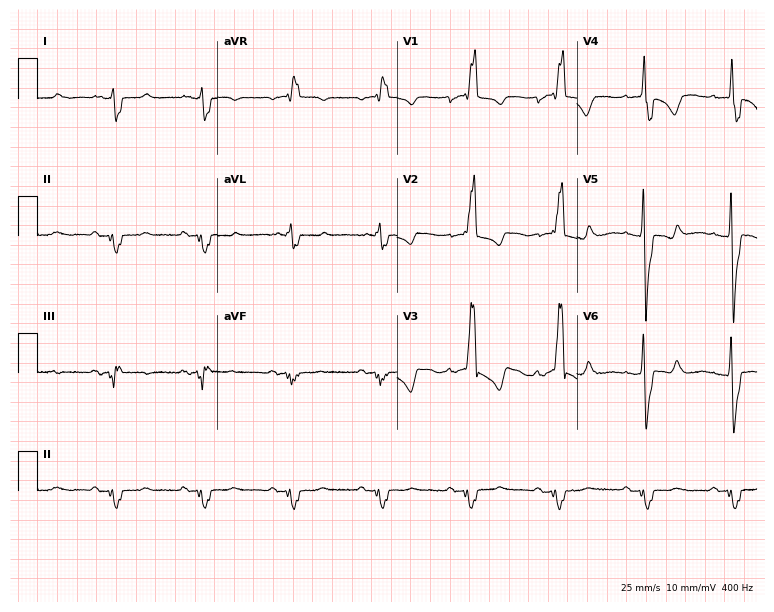
Resting 12-lead electrocardiogram. Patient: a male, 74 years old. The tracing shows right bundle branch block (RBBB).